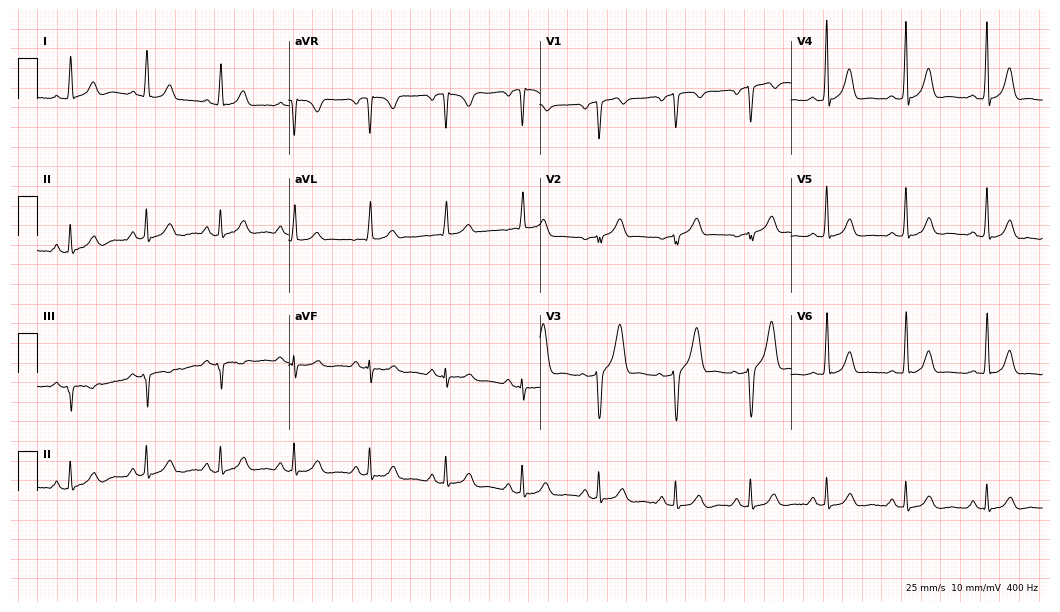
Standard 12-lead ECG recorded from a man, 44 years old. None of these six findings is recorded: first-degree AV block, right bundle branch block, left bundle branch block, sinus bradycardia, atrial fibrillation, sinus tachycardia. Other findings, if any, are not listed.